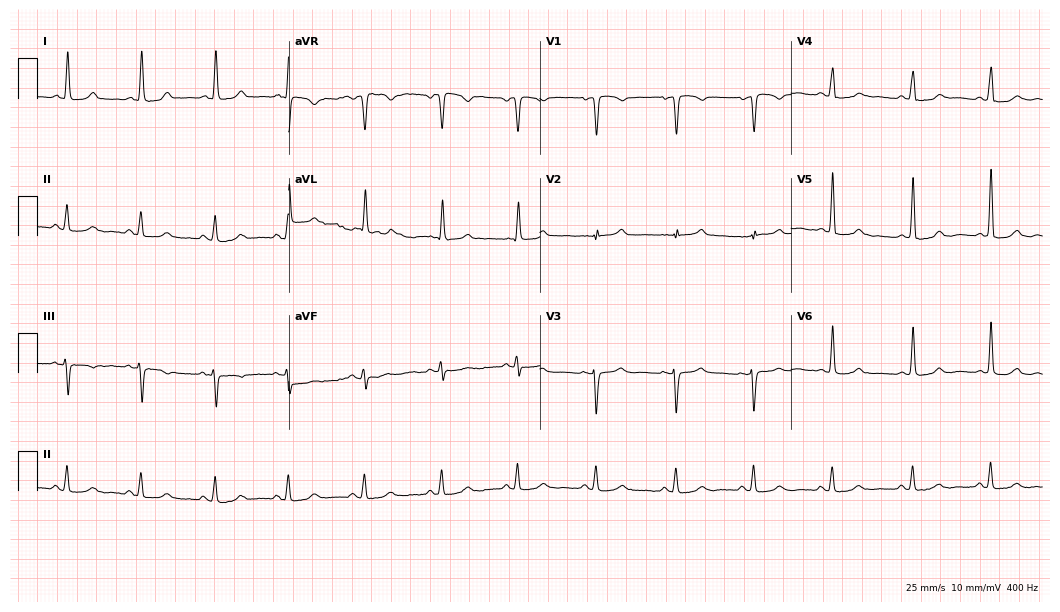
12-lead ECG (10.2-second recording at 400 Hz) from a 73-year-old female patient. Labelled as a normal ECG.